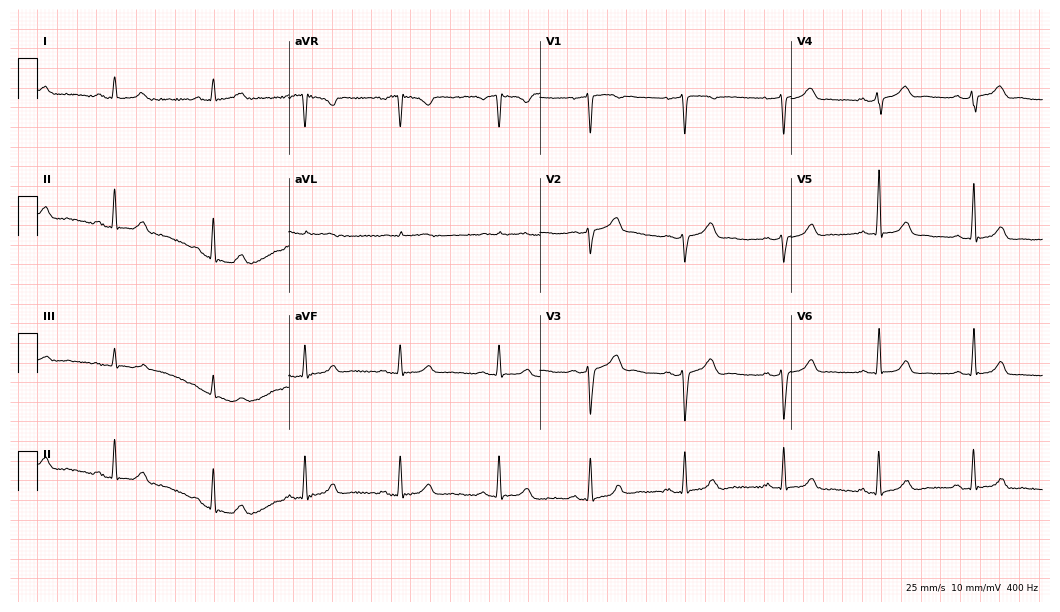
12-lead ECG from a 44-year-old female patient. Labelled as a normal ECG.